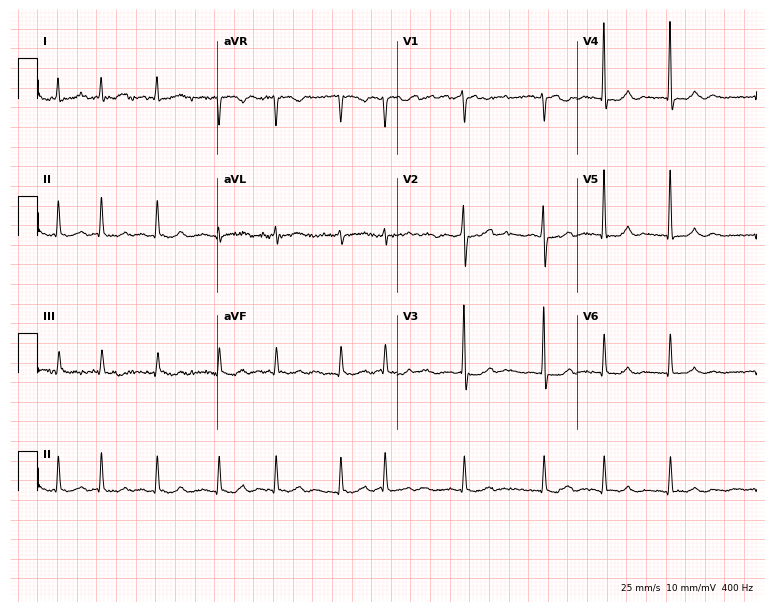
Standard 12-lead ECG recorded from a 72-year-old woman (7.3-second recording at 400 Hz). The tracing shows atrial fibrillation (AF).